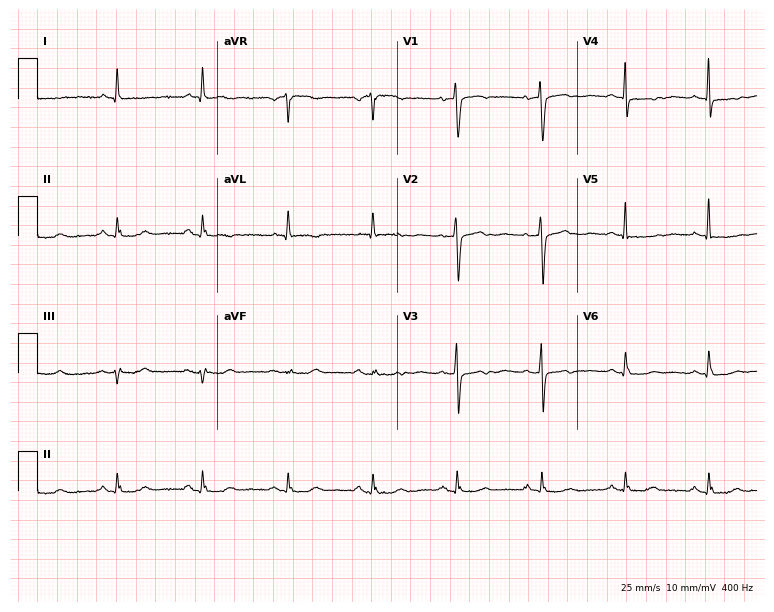
Standard 12-lead ECG recorded from a woman, 73 years old (7.3-second recording at 400 Hz). Read as a normal ECG.